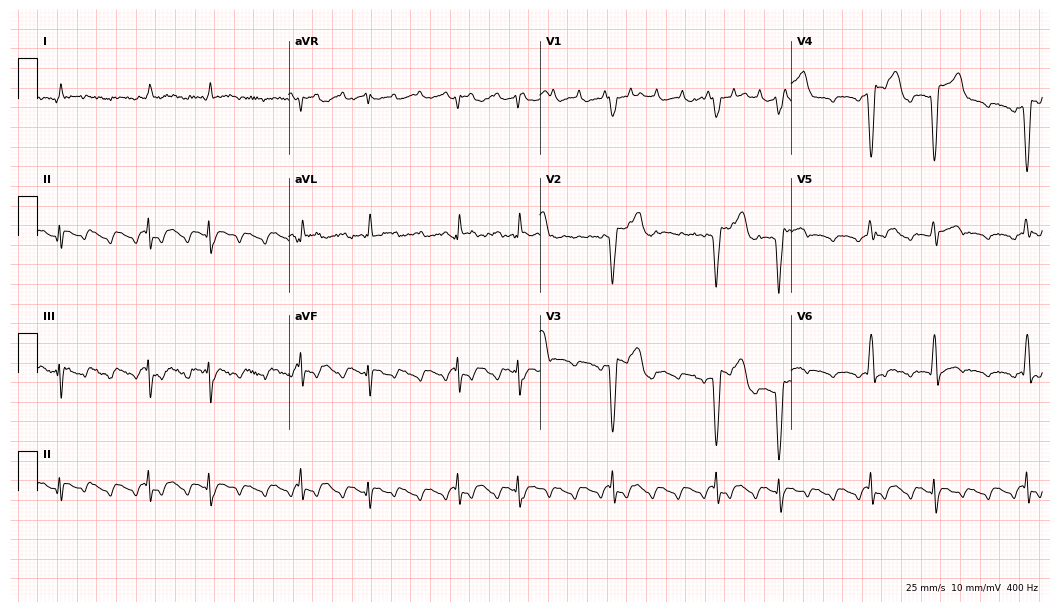
12-lead ECG from a 60-year-old man (10.2-second recording at 400 Hz). No first-degree AV block, right bundle branch block (RBBB), left bundle branch block (LBBB), sinus bradycardia, atrial fibrillation (AF) or sinus tachycardia recorded for this tracing. Other findings, if any, are not listed.